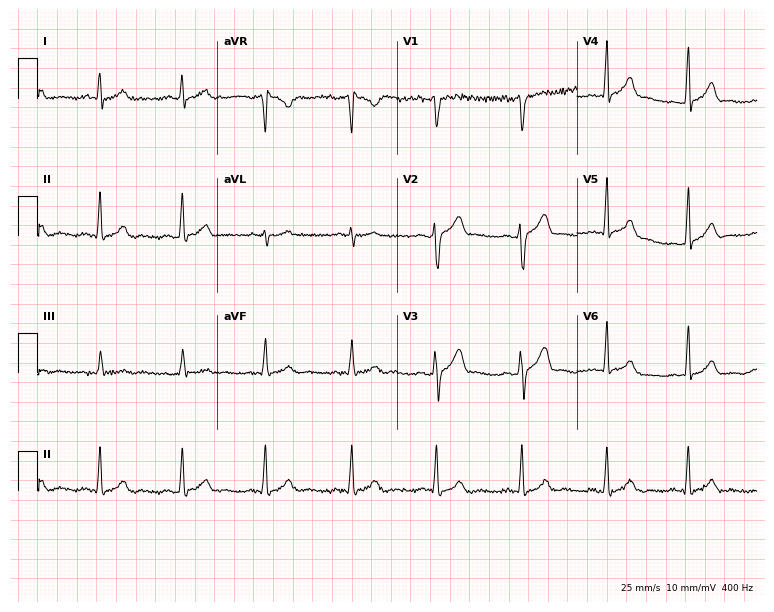
Resting 12-lead electrocardiogram (7.3-second recording at 400 Hz). Patient: a 23-year-old male. Read as a normal ECG.